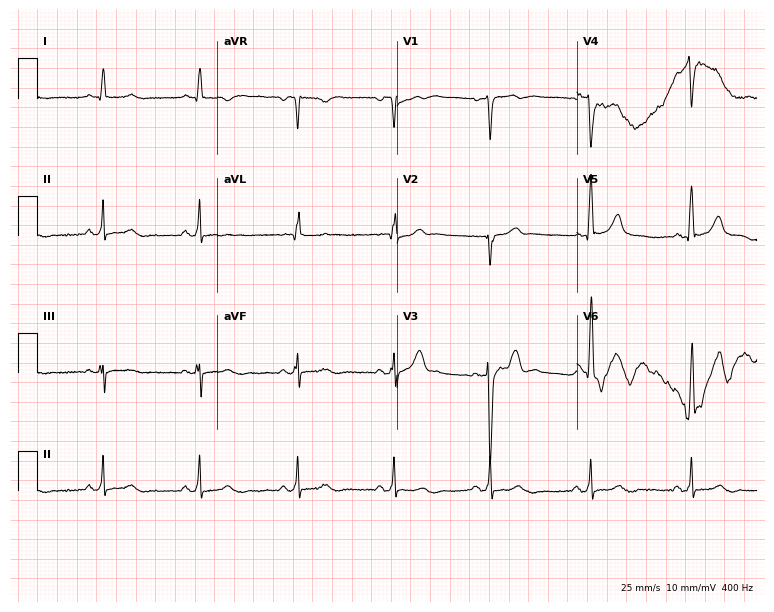
12-lead ECG from a 77-year-old male patient (7.3-second recording at 400 Hz). No first-degree AV block, right bundle branch block, left bundle branch block, sinus bradycardia, atrial fibrillation or sinus tachycardia recorded for this tracing. Findings outside these six are not listed.